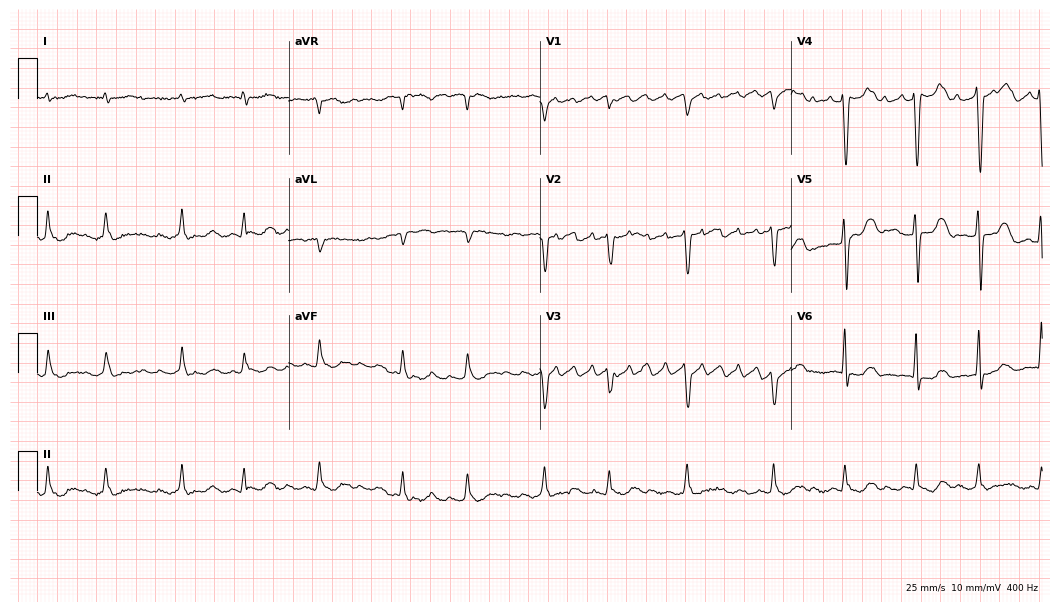
12-lead ECG (10.2-second recording at 400 Hz) from a 45-year-old woman. Screened for six findings — first-degree AV block, right bundle branch block, left bundle branch block, sinus bradycardia, atrial fibrillation, sinus tachycardia — none is recorded. Only these six findings were labelled.